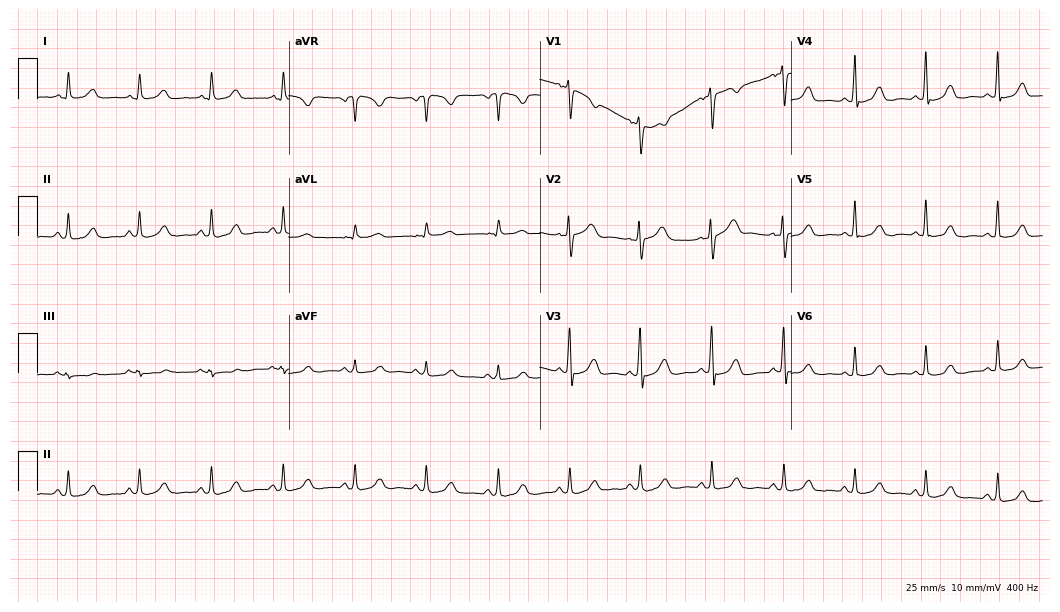
Resting 12-lead electrocardiogram (10.2-second recording at 400 Hz). Patient: a 55-year-old female. Read as a normal ECG.